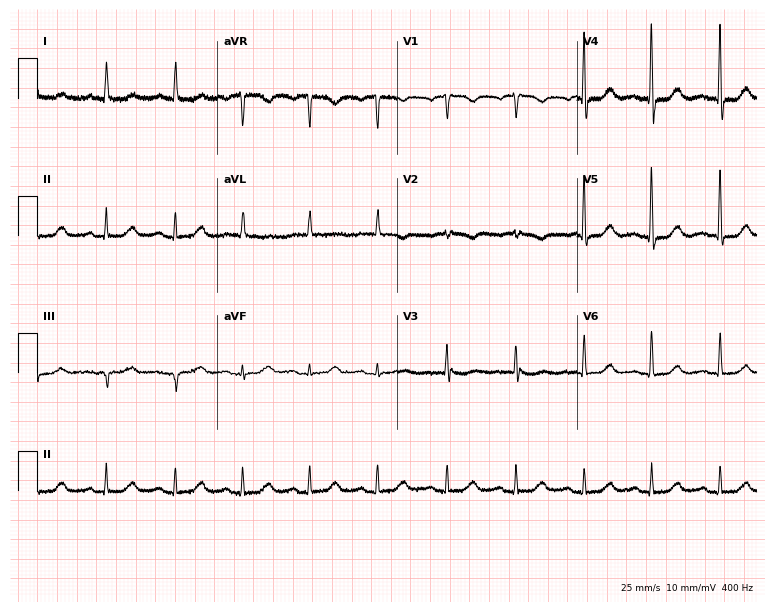
ECG — a woman, 72 years old. Screened for six findings — first-degree AV block, right bundle branch block (RBBB), left bundle branch block (LBBB), sinus bradycardia, atrial fibrillation (AF), sinus tachycardia — none is recorded. Only these six findings were labelled.